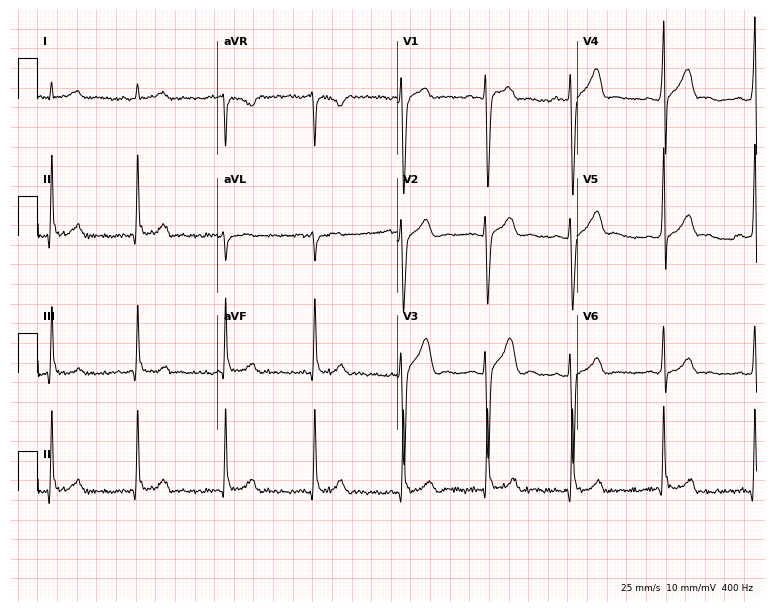
12-lead ECG from a male, 20 years old (7.3-second recording at 400 Hz). No first-degree AV block, right bundle branch block, left bundle branch block, sinus bradycardia, atrial fibrillation or sinus tachycardia recorded for this tracing.